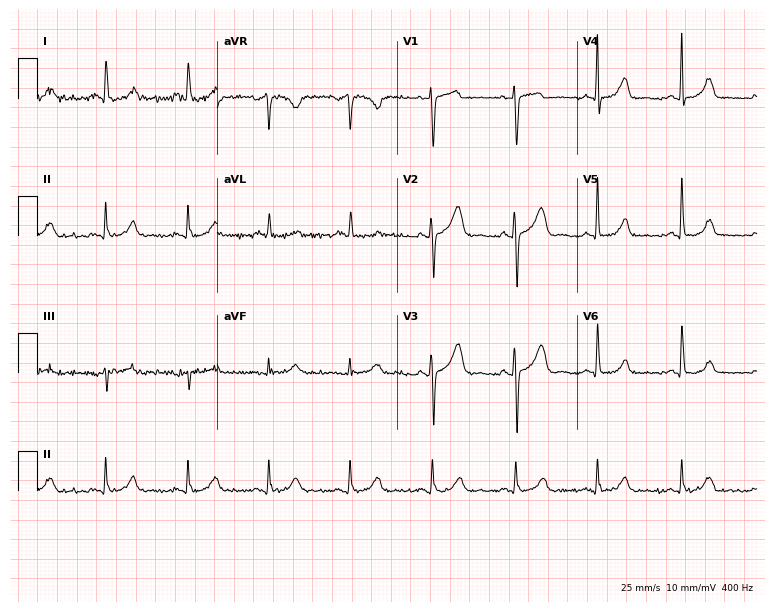
12-lead ECG from a woman, 68 years old (7.3-second recording at 400 Hz). No first-degree AV block, right bundle branch block, left bundle branch block, sinus bradycardia, atrial fibrillation or sinus tachycardia recorded for this tracing. Other findings, if any, are not listed.